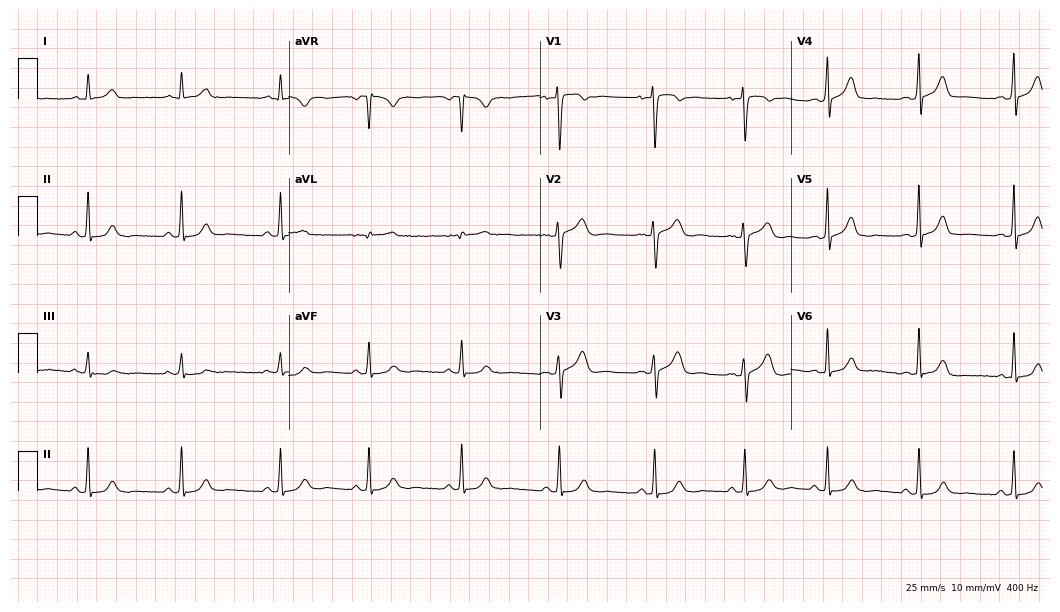
Resting 12-lead electrocardiogram. Patient: a 28-year-old female. Read as a normal ECG.